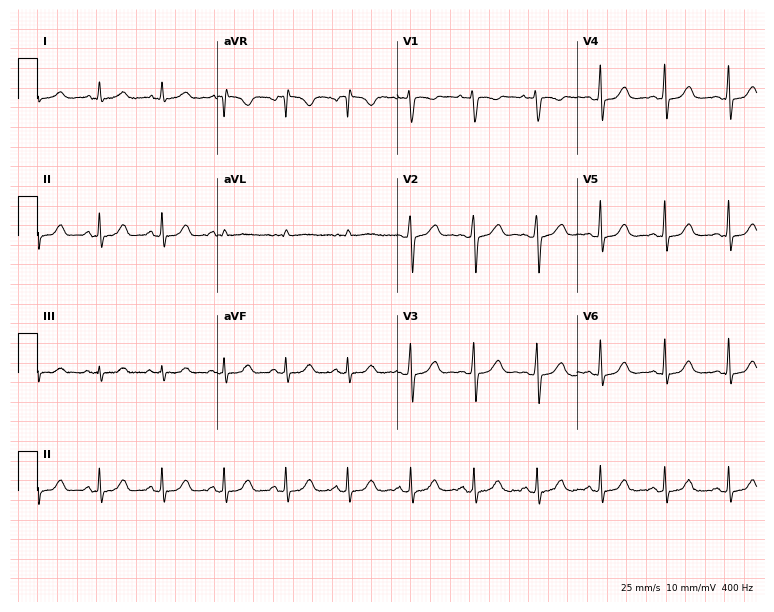
Electrocardiogram (7.3-second recording at 400 Hz), a 38-year-old woman. Of the six screened findings (first-degree AV block, right bundle branch block, left bundle branch block, sinus bradycardia, atrial fibrillation, sinus tachycardia), none is recorded.